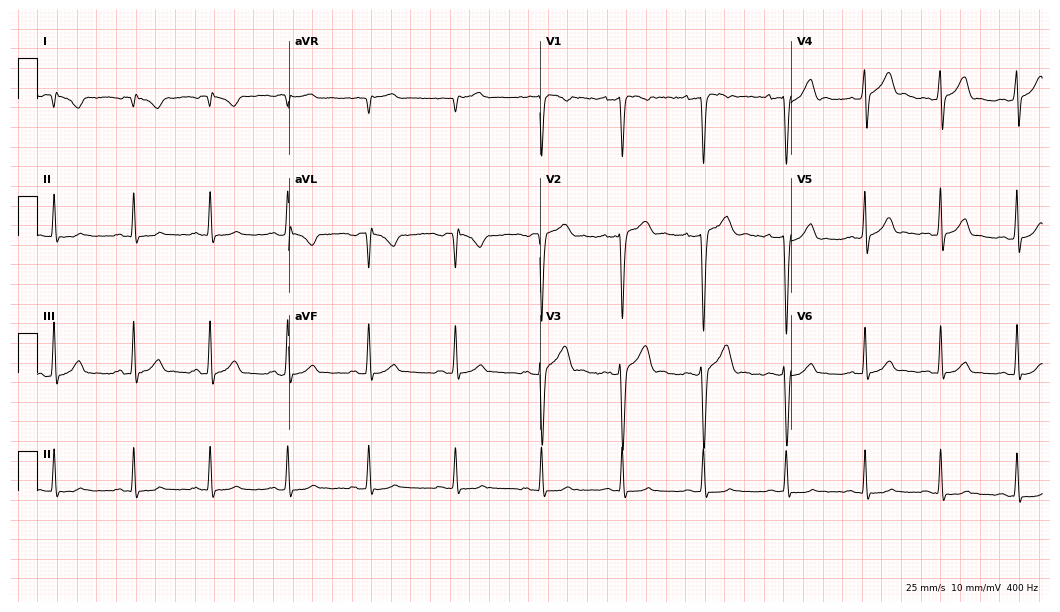
Electrocardiogram, a man, 20 years old. Of the six screened findings (first-degree AV block, right bundle branch block, left bundle branch block, sinus bradycardia, atrial fibrillation, sinus tachycardia), none is recorded.